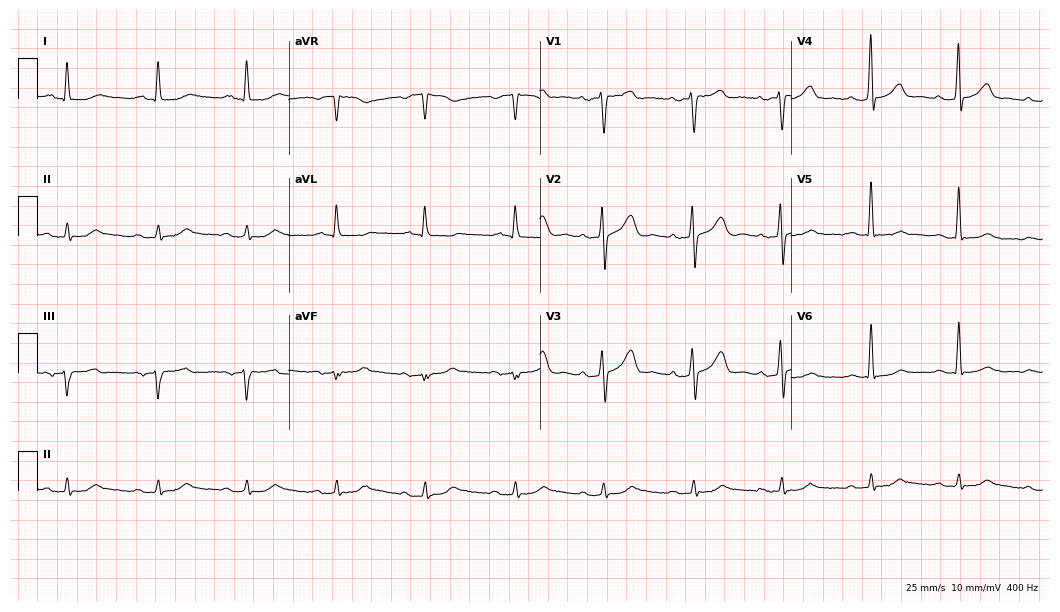
12-lead ECG from an 82-year-old man. Shows first-degree AV block.